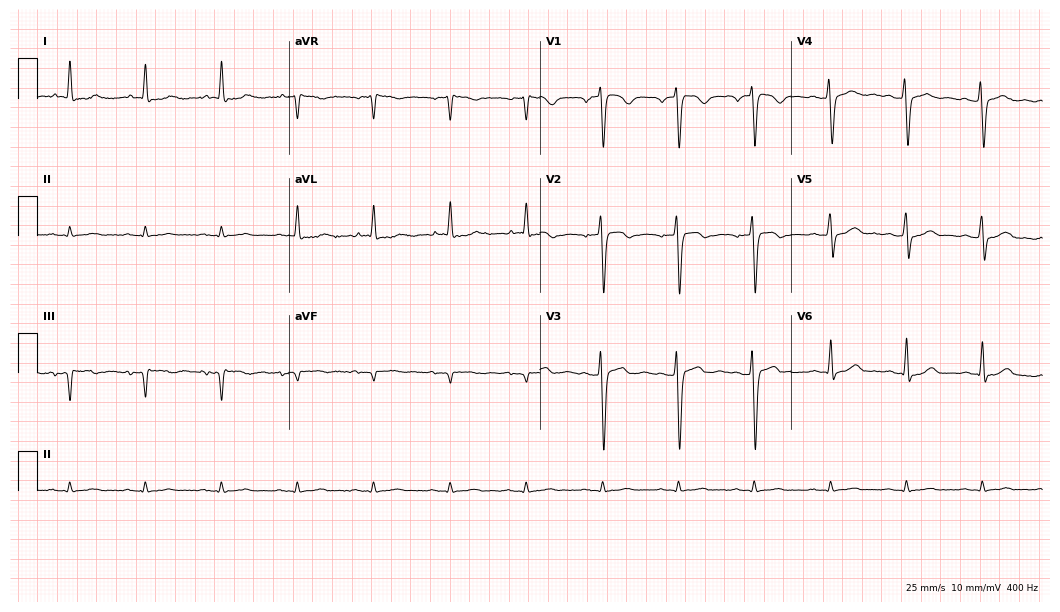
Resting 12-lead electrocardiogram (10.2-second recording at 400 Hz). Patient: an 85-year-old man. None of these six findings is recorded: first-degree AV block, right bundle branch block, left bundle branch block, sinus bradycardia, atrial fibrillation, sinus tachycardia. Findings outside these six are not listed.